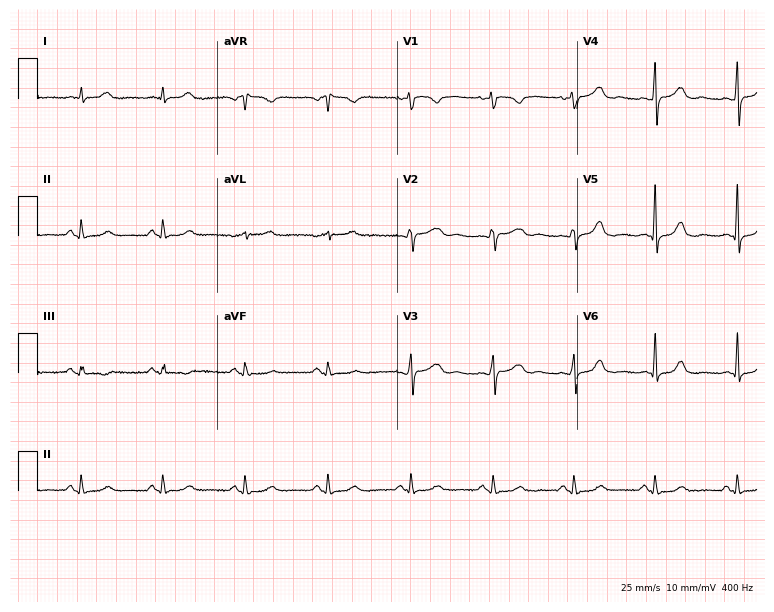
12-lead ECG from a 45-year-old female patient (7.3-second recording at 400 Hz). No first-degree AV block, right bundle branch block (RBBB), left bundle branch block (LBBB), sinus bradycardia, atrial fibrillation (AF) or sinus tachycardia recorded for this tracing. Findings outside these six are not listed.